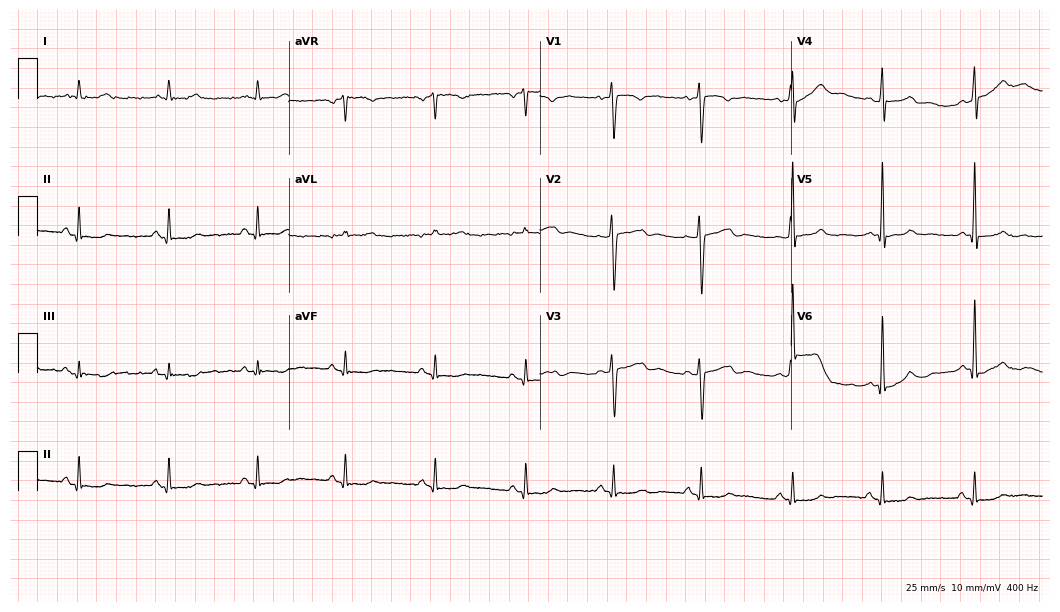
Electrocardiogram, a woman, 44 years old. Overall reading on record: normal ECG.